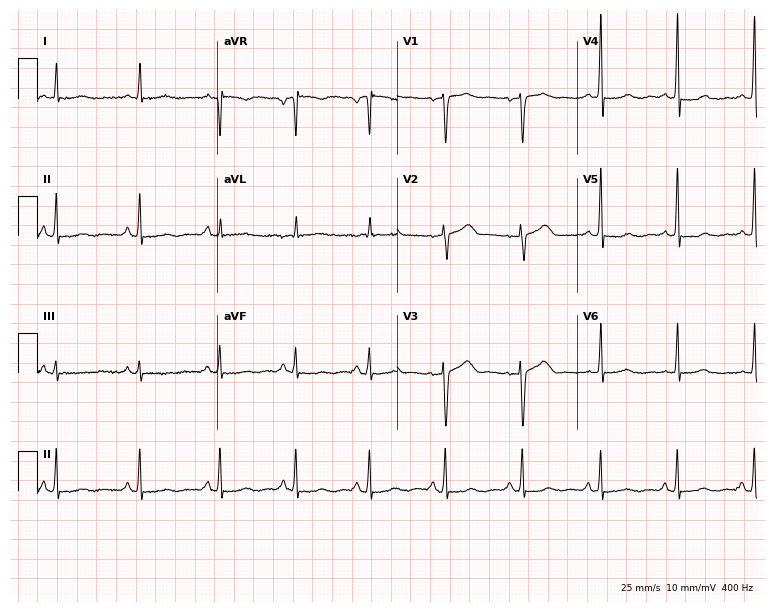
12-lead ECG from a woman, 62 years old (7.3-second recording at 400 Hz). Recorded interpretation: within normal limits.